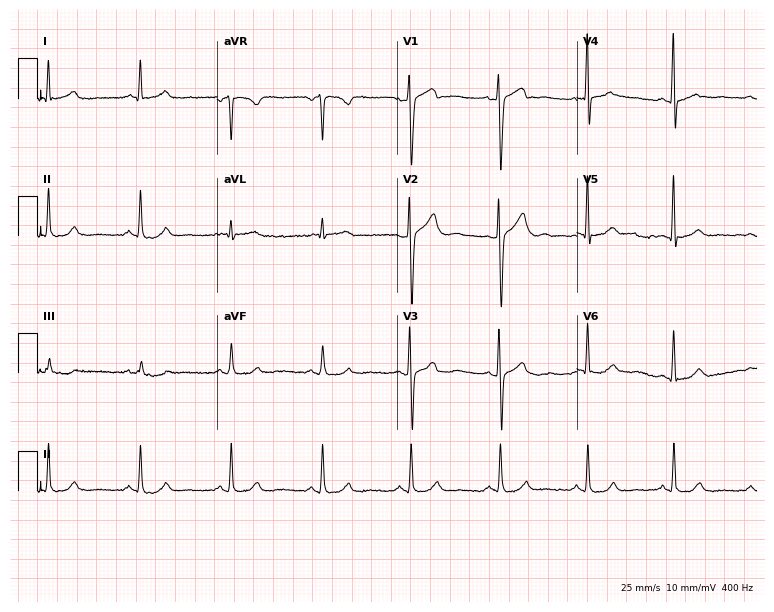
Electrocardiogram (7.3-second recording at 400 Hz), a man, 51 years old. Overall reading on record: normal ECG.